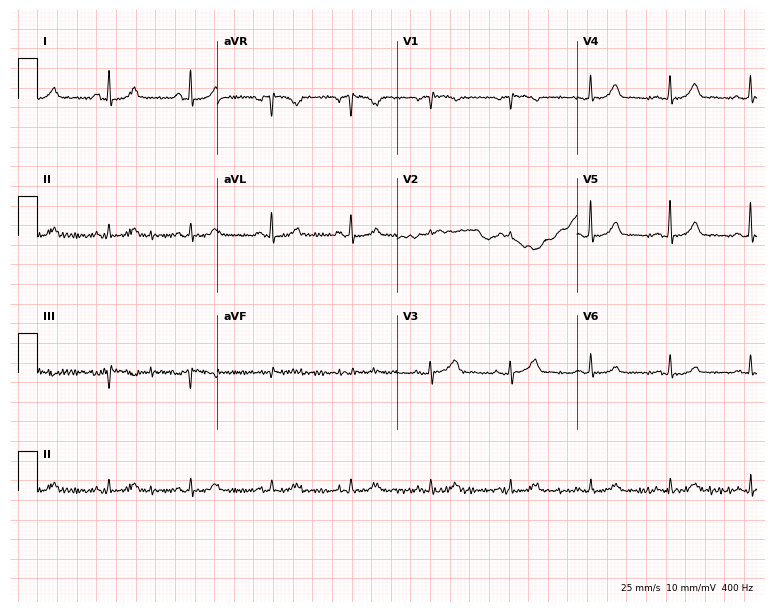
ECG (7.3-second recording at 400 Hz) — a woman, 53 years old. Labelled as a normal ECG.